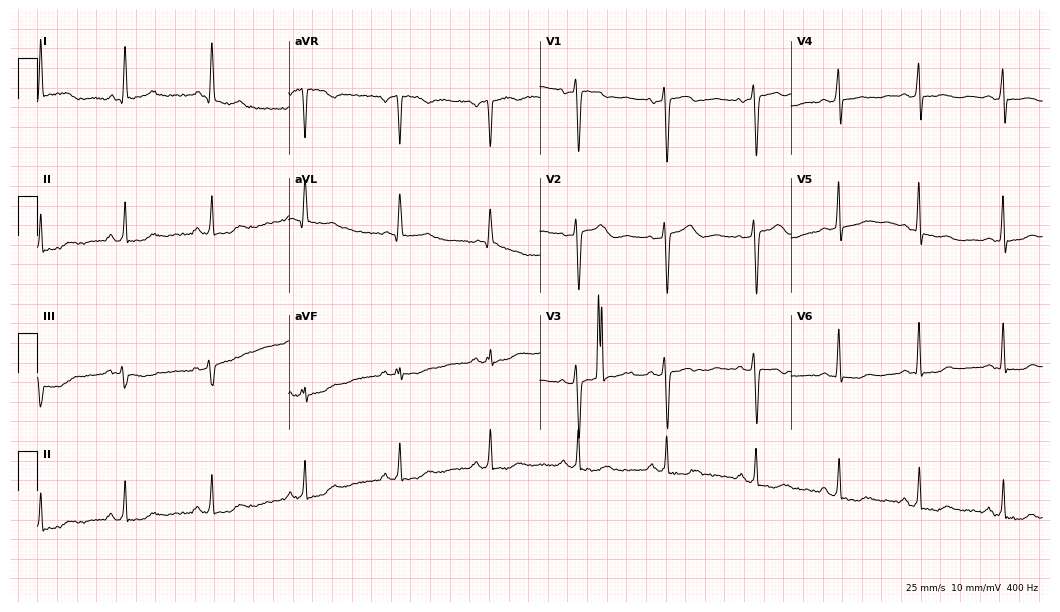
Resting 12-lead electrocardiogram. Patient: a 55-year-old female. None of these six findings is recorded: first-degree AV block, right bundle branch block, left bundle branch block, sinus bradycardia, atrial fibrillation, sinus tachycardia. Findings outside these six are not listed.